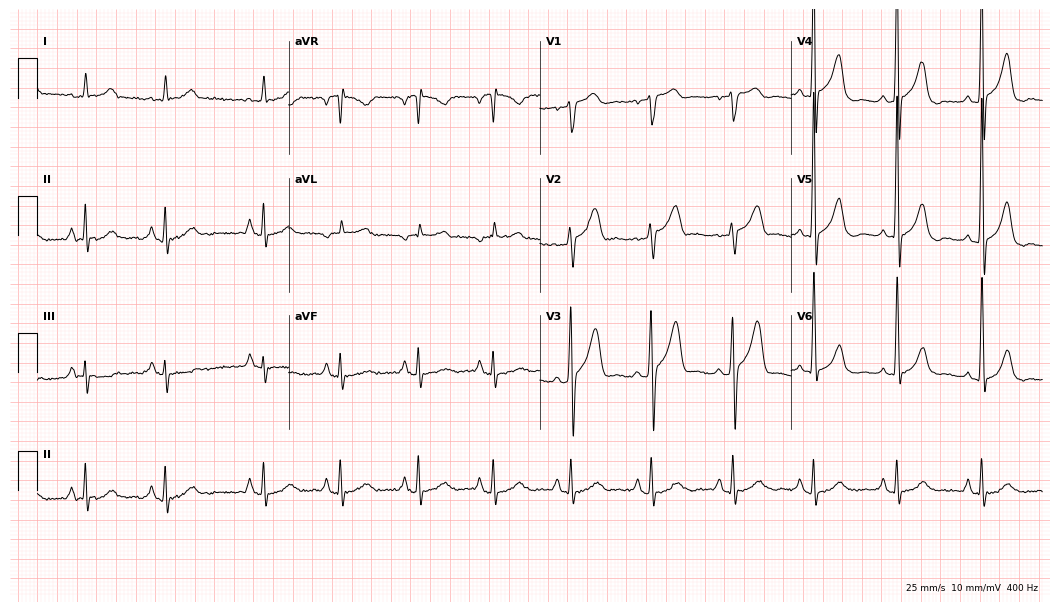
Electrocardiogram (10.2-second recording at 400 Hz), a male, 76 years old. Of the six screened findings (first-degree AV block, right bundle branch block (RBBB), left bundle branch block (LBBB), sinus bradycardia, atrial fibrillation (AF), sinus tachycardia), none is recorded. Only these six findings were labelled.